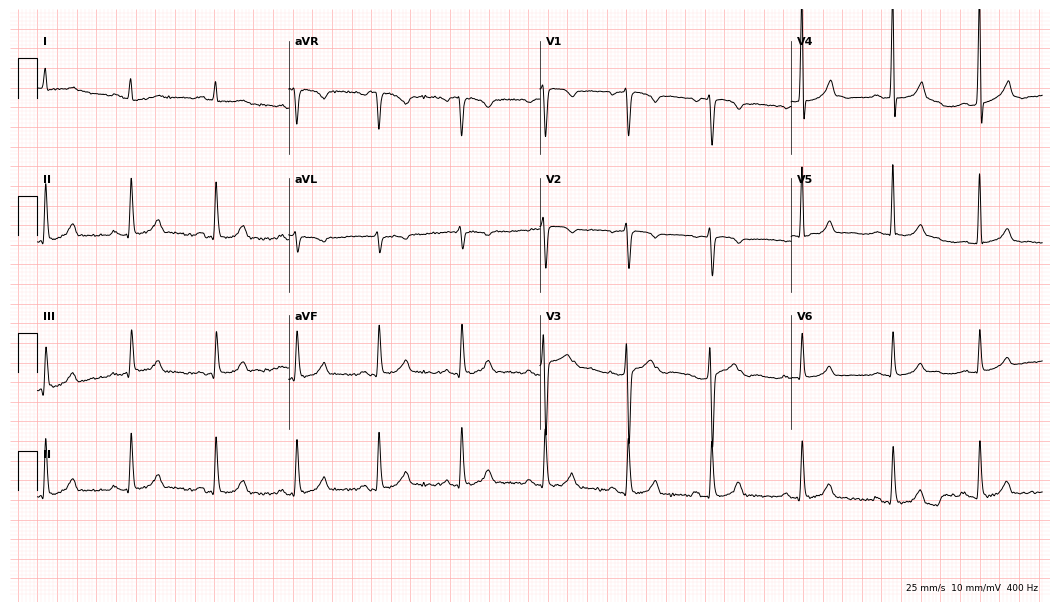
Standard 12-lead ECG recorded from a female, 35 years old. Read as a normal ECG.